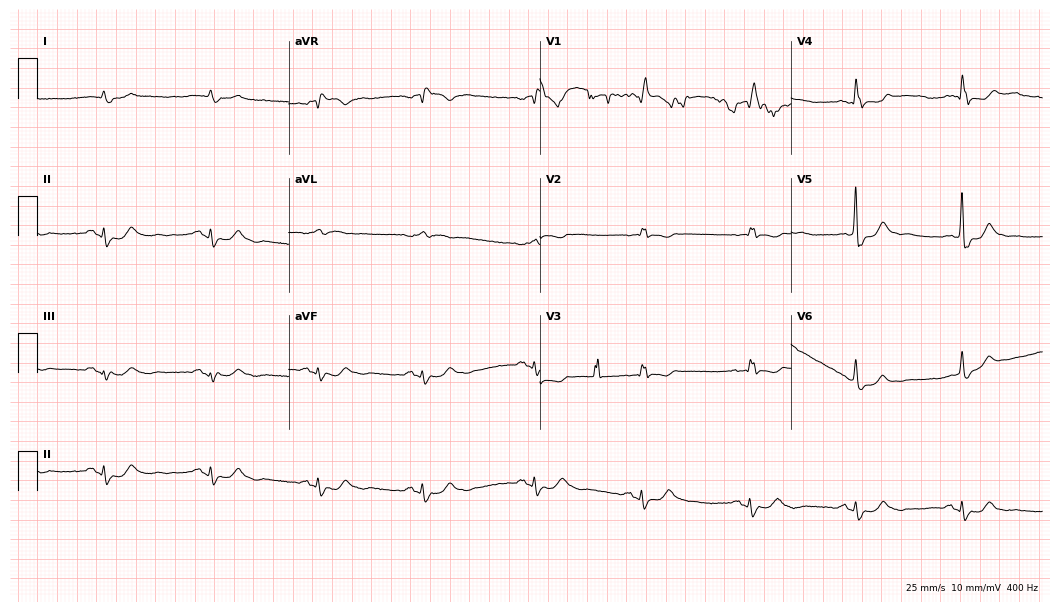
Standard 12-lead ECG recorded from an 83-year-old man. None of these six findings is recorded: first-degree AV block, right bundle branch block, left bundle branch block, sinus bradycardia, atrial fibrillation, sinus tachycardia.